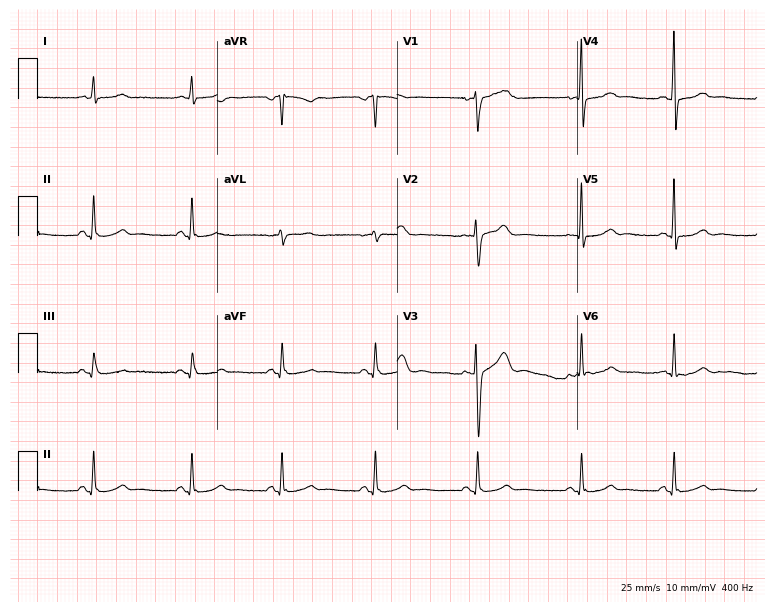
Electrocardiogram, a 41-year-old male. Of the six screened findings (first-degree AV block, right bundle branch block, left bundle branch block, sinus bradycardia, atrial fibrillation, sinus tachycardia), none is recorded.